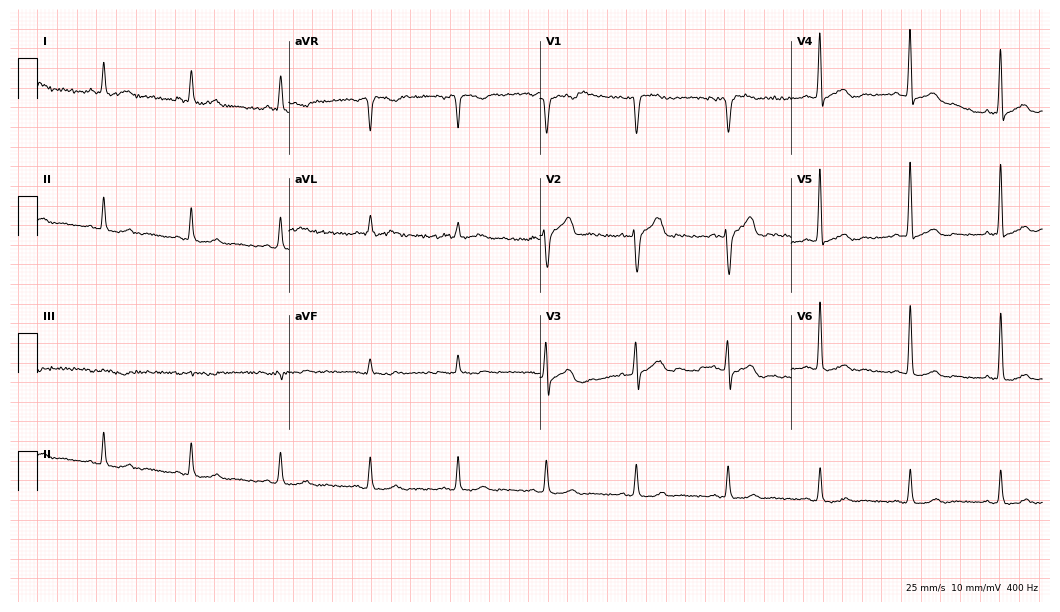
Standard 12-lead ECG recorded from a male, 52 years old. Read as a normal ECG.